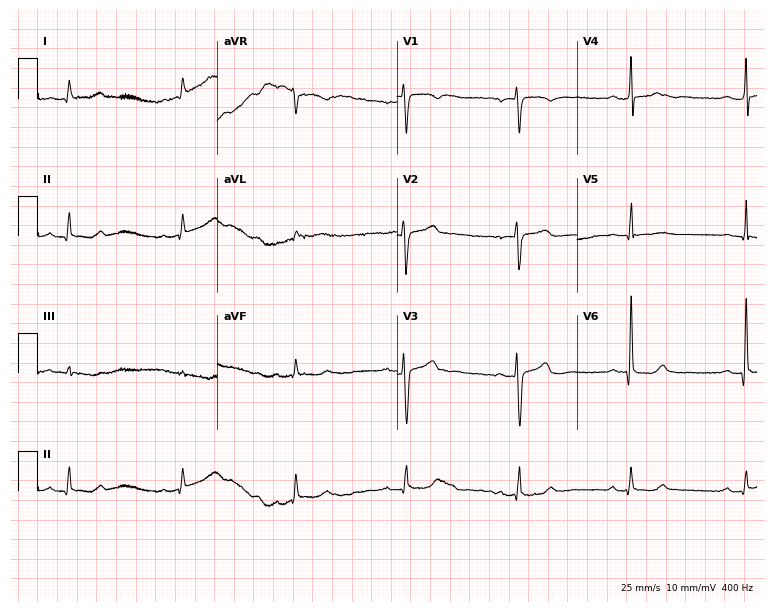
Resting 12-lead electrocardiogram. Patient: a 55-year-old female. None of these six findings is recorded: first-degree AV block, right bundle branch block (RBBB), left bundle branch block (LBBB), sinus bradycardia, atrial fibrillation (AF), sinus tachycardia.